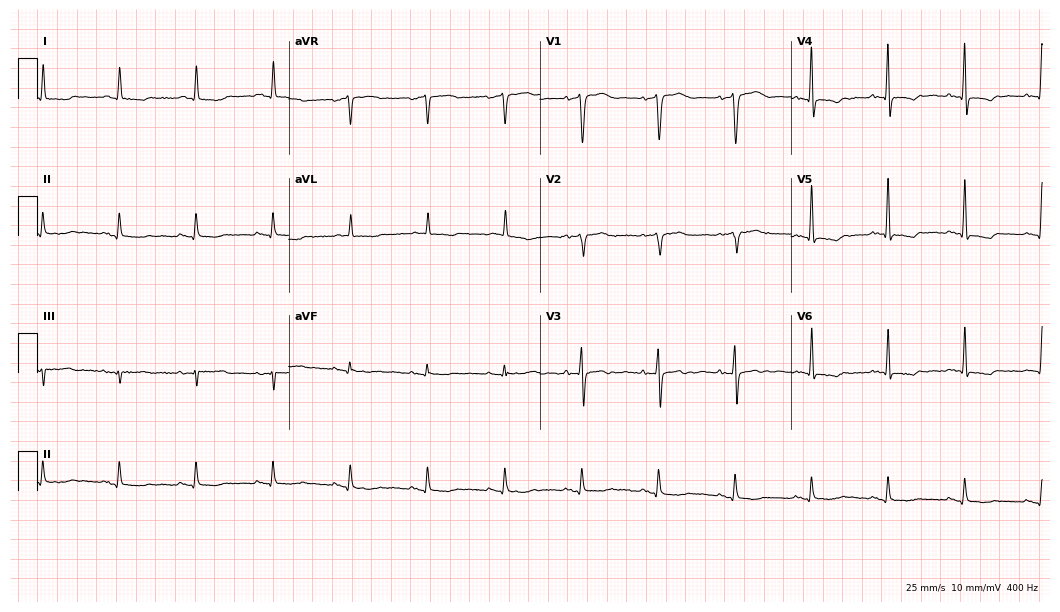
Standard 12-lead ECG recorded from a male, 77 years old. None of these six findings is recorded: first-degree AV block, right bundle branch block, left bundle branch block, sinus bradycardia, atrial fibrillation, sinus tachycardia. Findings outside these six are not listed.